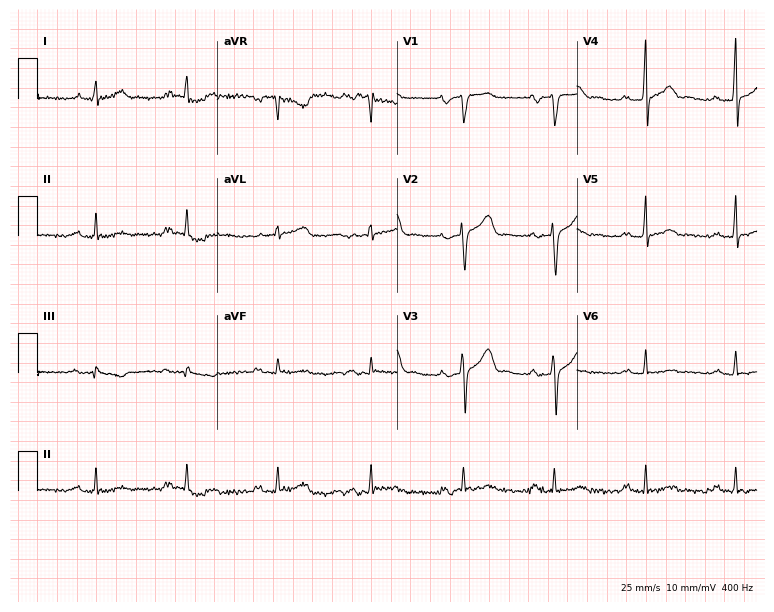
ECG (7.3-second recording at 400 Hz) — a 57-year-old man. Findings include first-degree AV block.